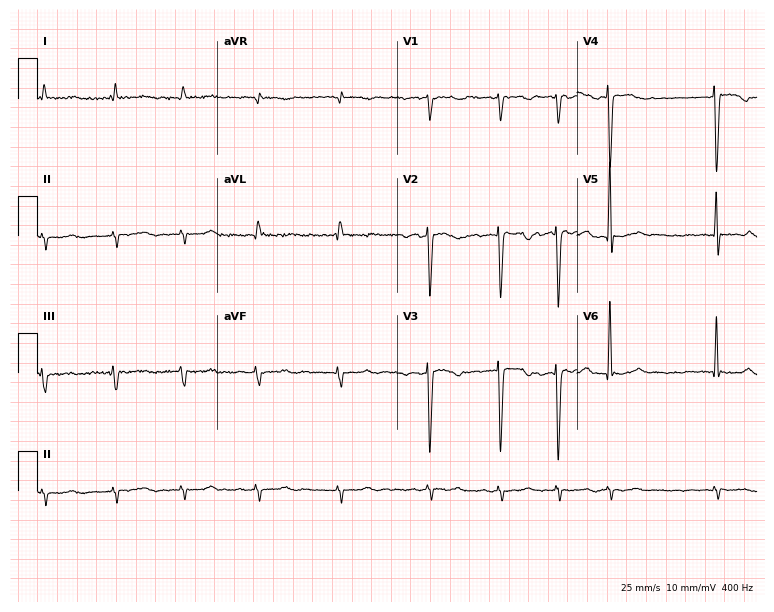
Standard 12-lead ECG recorded from a 64-year-old male patient (7.3-second recording at 400 Hz). The tracing shows atrial fibrillation (AF).